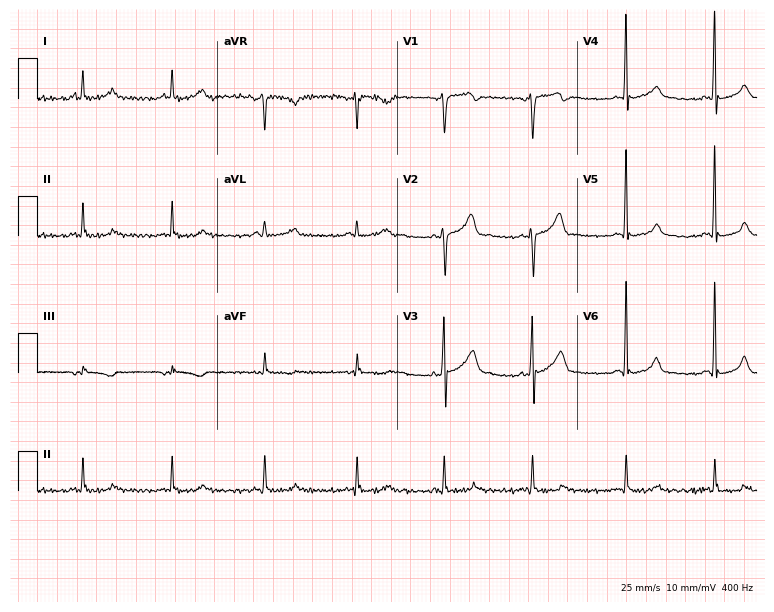
Resting 12-lead electrocardiogram (7.3-second recording at 400 Hz). Patient: a 23-year-old man. None of these six findings is recorded: first-degree AV block, right bundle branch block (RBBB), left bundle branch block (LBBB), sinus bradycardia, atrial fibrillation (AF), sinus tachycardia. Only these six findings were labelled.